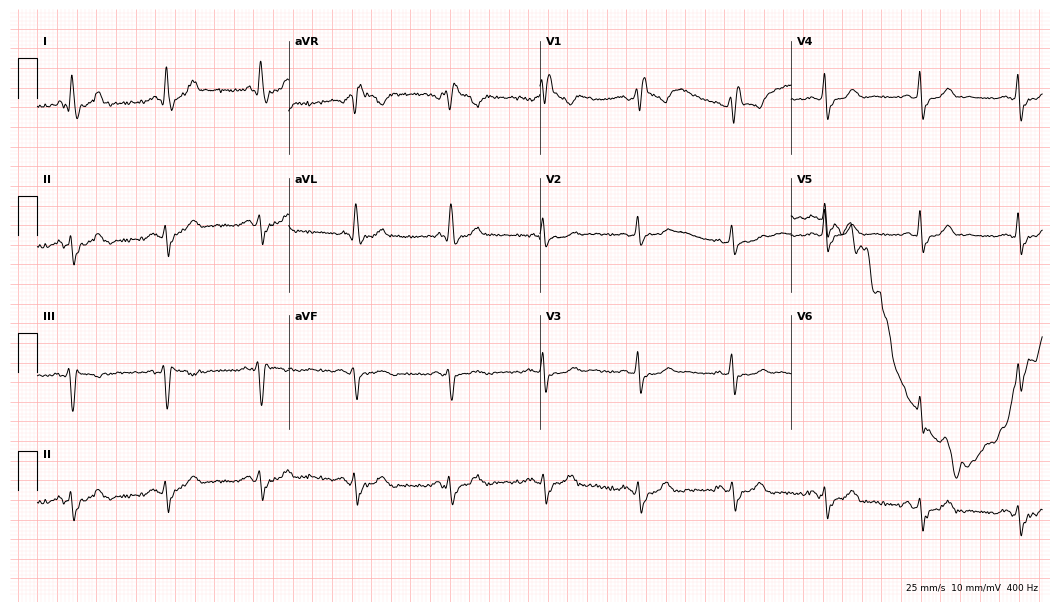
12-lead ECG from a male patient, 58 years old. No first-degree AV block, right bundle branch block, left bundle branch block, sinus bradycardia, atrial fibrillation or sinus tachycardia recorded for this tracing. Findings outside these six are not listed.